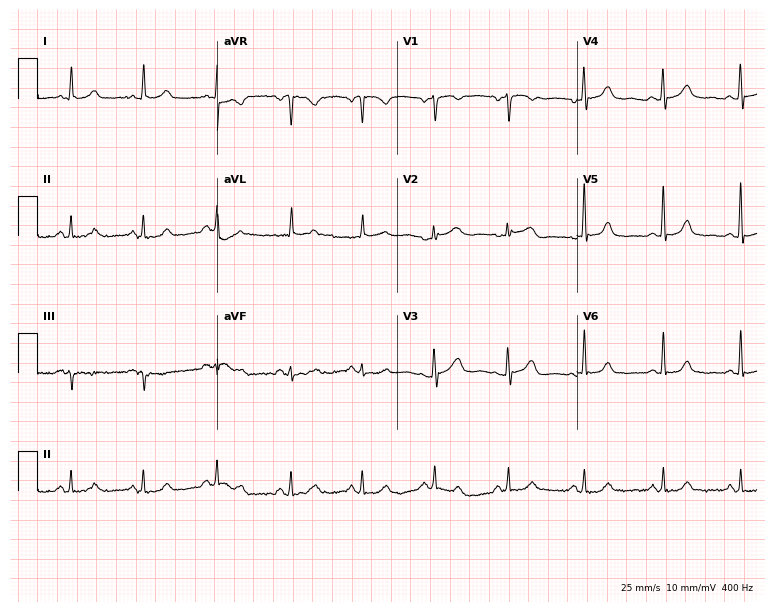
Standard 12-lead ECG recorded from a 47-year-old woman (7.3-second recording at 400 Hz). Read as a normal ECG.